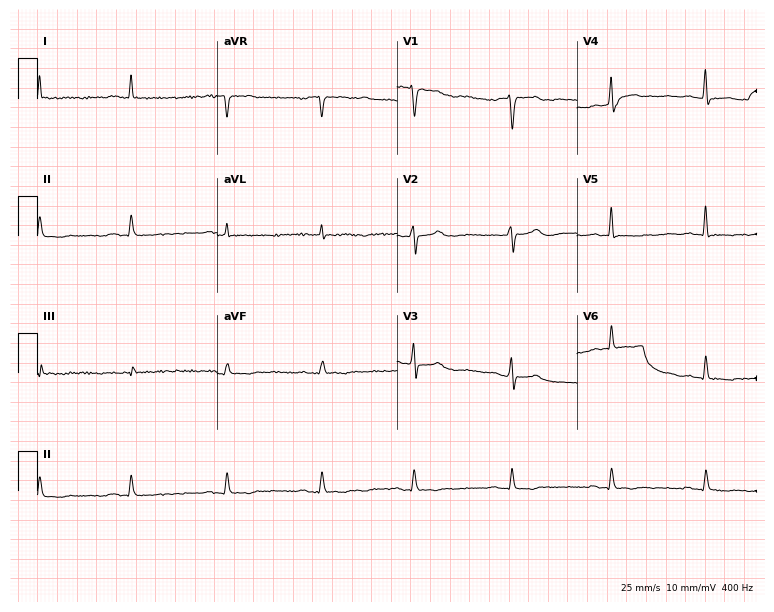
ECG (7.3-second recording at 400 Hz) — a 40-year-old female. Screened for six findings — first-degree AV block, right bundle branch block, left bundle branch block, sinus bradycardia, atrial fibrillation, sinus tachycardia — none is recorded.